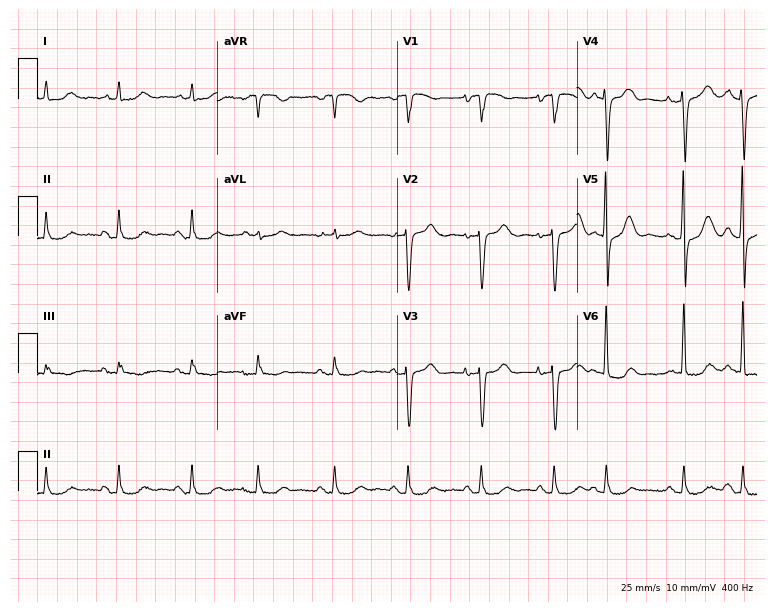
Standard 12-lead ECG recorded from an 81-year-old male patient (7.3-second recording at 400 Hz). None of these six findings is recorded: first-degree AV block, right bundle branch block, left bundle branch block, sinus bradycardia, atrial fibrillation, sinus tachycardia. Only these six findings were labelled.